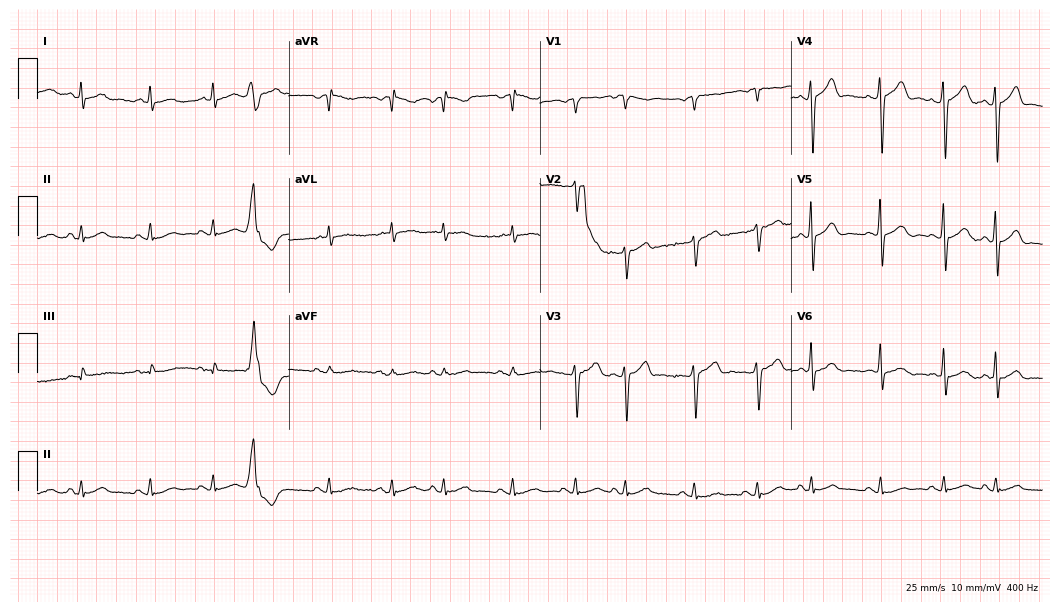
12-lead ECG (10.2-second recording at 400 Hz) from a 62-year-old male. Screened for six findings — first-degree AV block, right bundle branch block, left bundle branch block, sinus bradycardia, atrial fibrillation, sinus tachycardia — none is recorded.